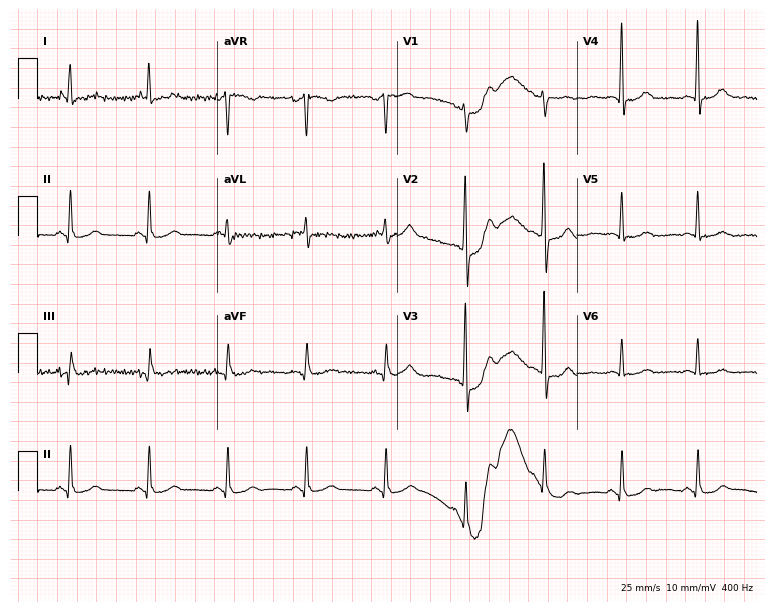
12-lead ECG from a female patient, 55 years old. Labelled as a normal ECG.